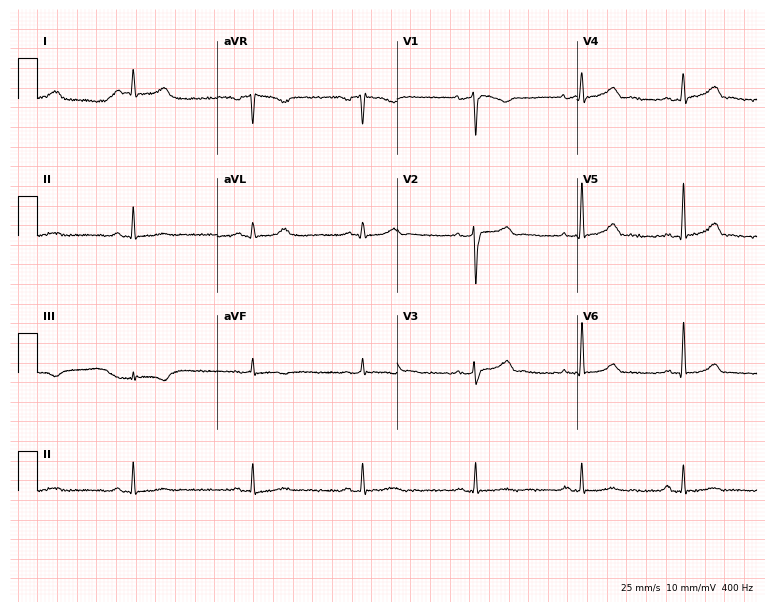
ECG (7.3-second recording at 400 Hz) — a male, 41 years old. Screened for six findings — first-degree AV block, right bundle branch block, left bundle branch block, sinus bradycardia, atrial fibrillation, sinus tachycardia — none is recorded.